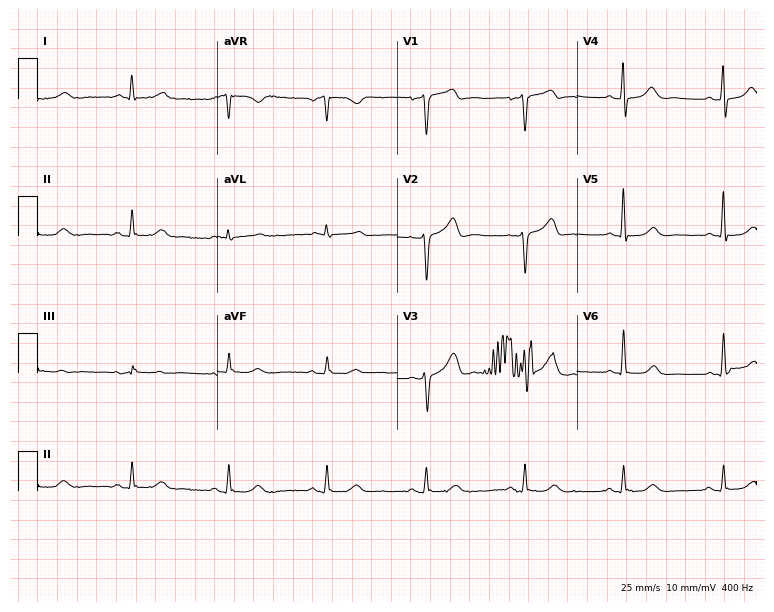
12-lead ECG from a 79-year-old male patient (7.3-second recording at 400 Hz). No first-degree AV block, right bundle branch block, left bundle branch block, sinus bradycardia, atrial fibrillation or sinus tachycardia recorded for this tracing.